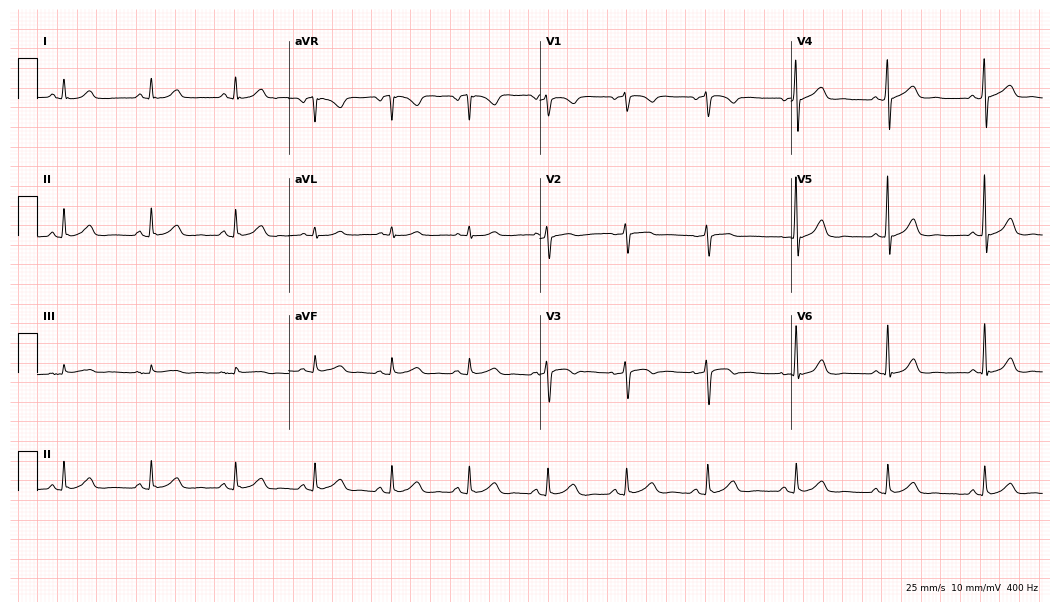
Electrocardiogram, a 48-year-old woman. Overall reading on record: normal ECG.